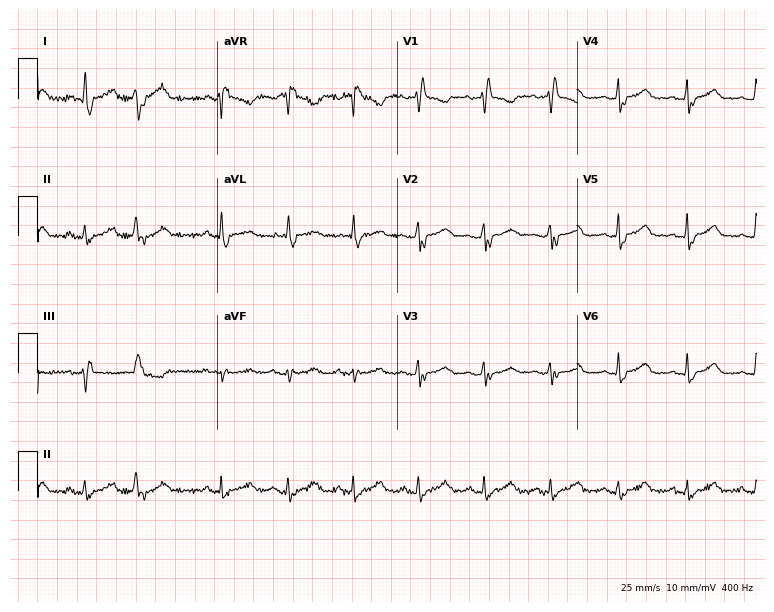
Standard 12-lead ECG recorded from a 57-year-old female patient. None of these six findings is recorded: first-degree AV block, right bundle branch block, left bundle branch block, sinus bradycardia, atrial fibrillation, sinus tachycardia. Only these six findings were labelled.